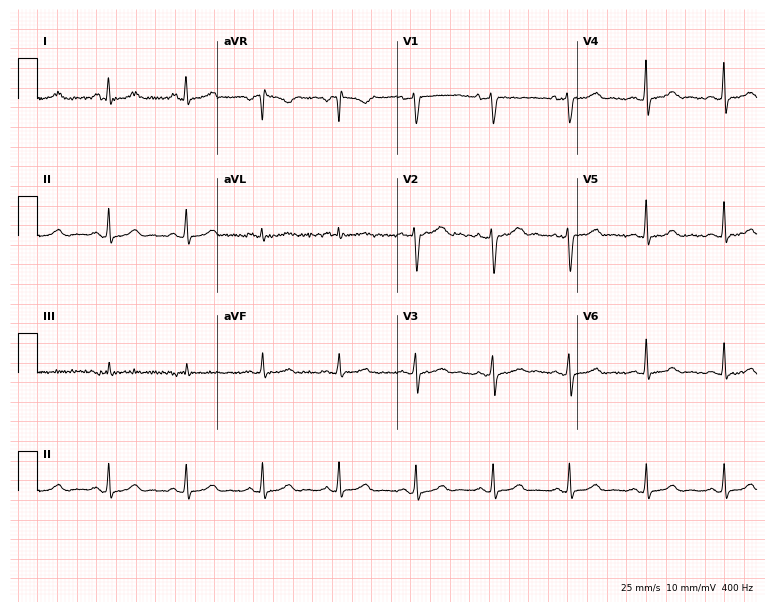
Resting 12-lead electrocardiogram (7.3-second recording at 400 Hz). Patient: a 49-year-old female. Read as a normal ECG.